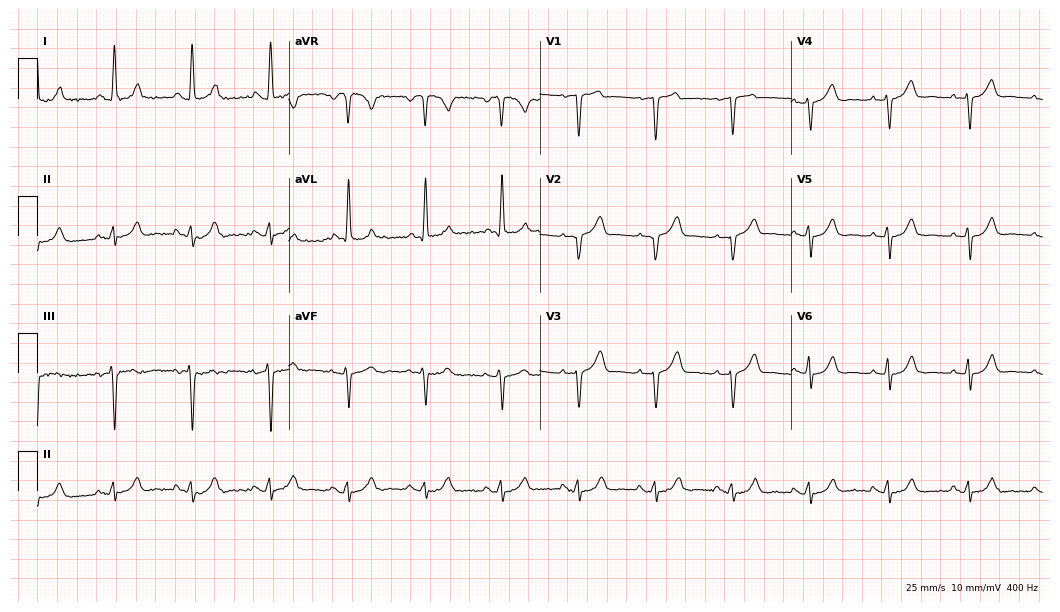
Resting 12-lead electrocardiogram. Patient: a 39-year-old woman. None of these six findings is recorded: first-degree AV block, right bundle branch block (RBBB), left bundle branch block (LBBB), sinus bradycardia, atrial fibrillation (AF), sinus tachycardia. Only these six findings were labelled.